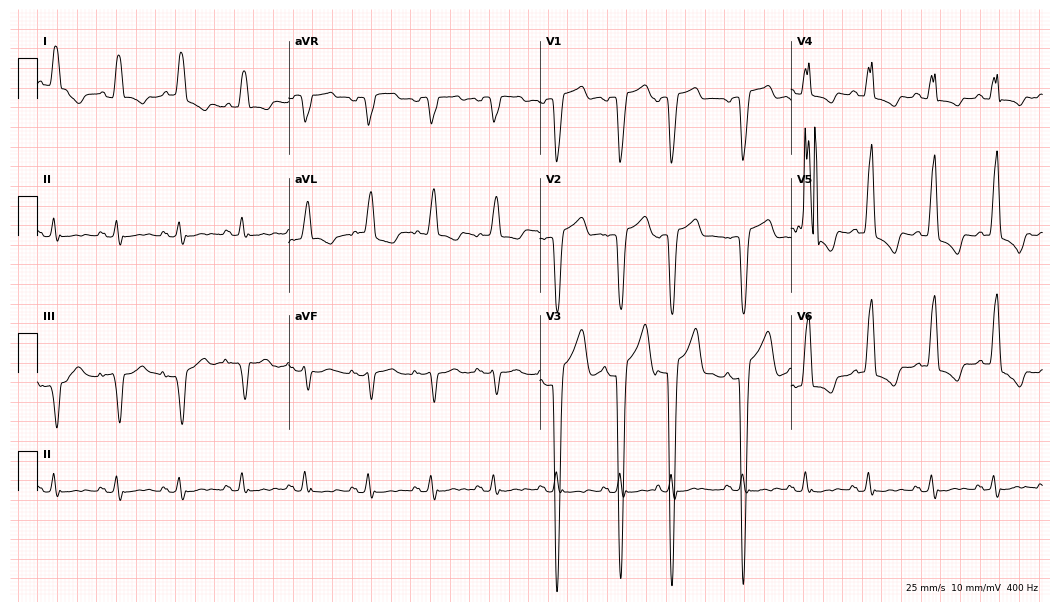
Standard 12-lead ECG recorded from an 84-year-old female patient. The tracing shows left bundle branch block.